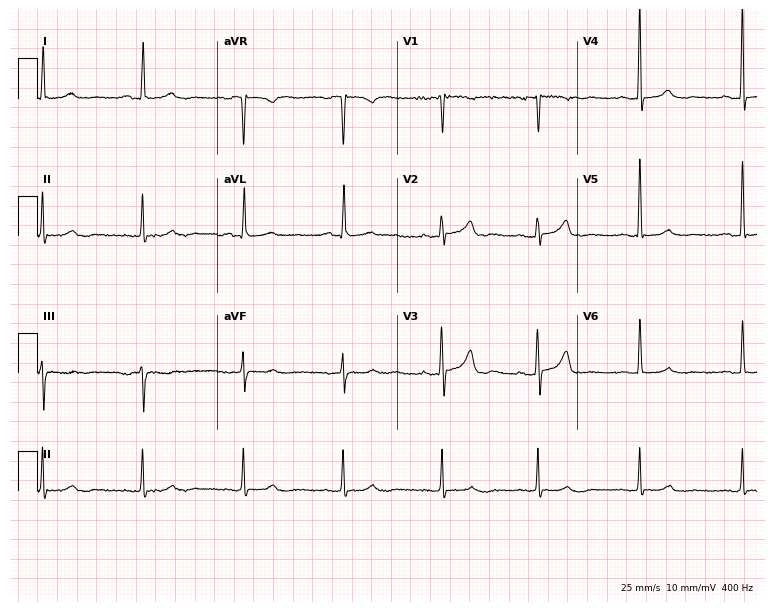
Electrocardiogram, a 72-year-old woman. Overall reading on record: normal ECG.